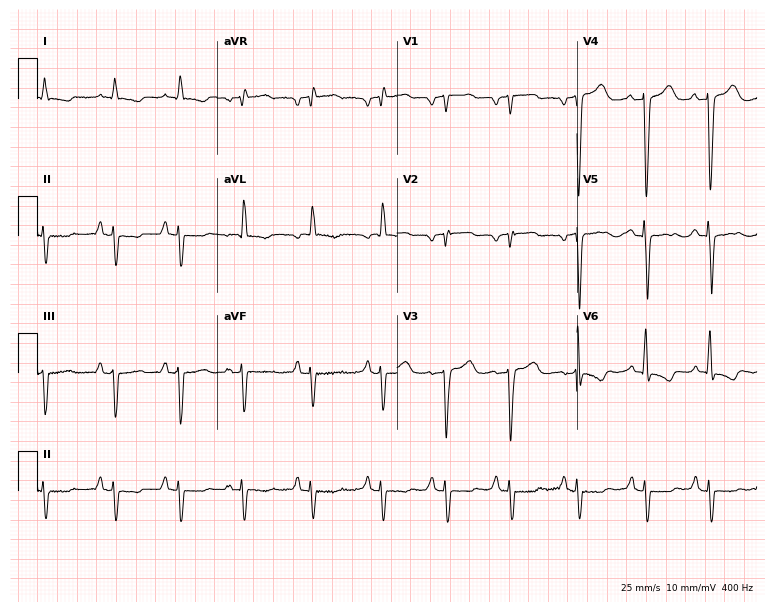
Electrocardiogram (7.3-second recording at 400 Hz), a 70-year-old male patient. Overall reading on record: normal ECG.